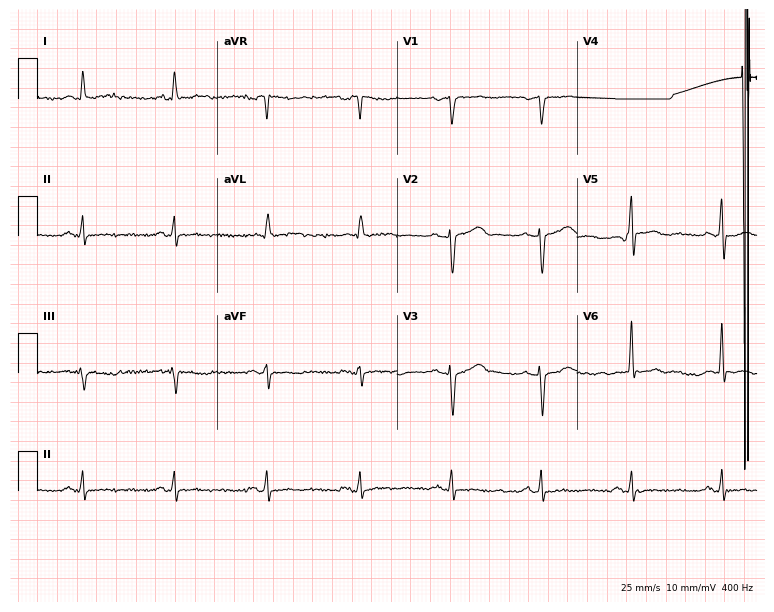
ECG (7.3-second recording at 400 Hz) — a male, 61 years old. Screened for six findings — first-degree AV block, right bundle branch block, left bundle branch block, sinus bradycardia, atrial fibrillation, sinus tachycardia — none is recorded.